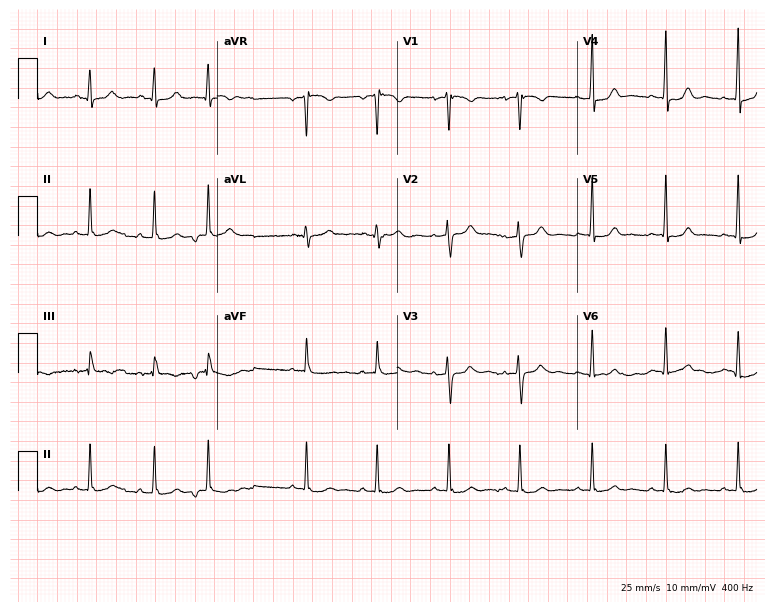
12-lead ECG from a female, 23 years old. Labelled as a normal ECG.